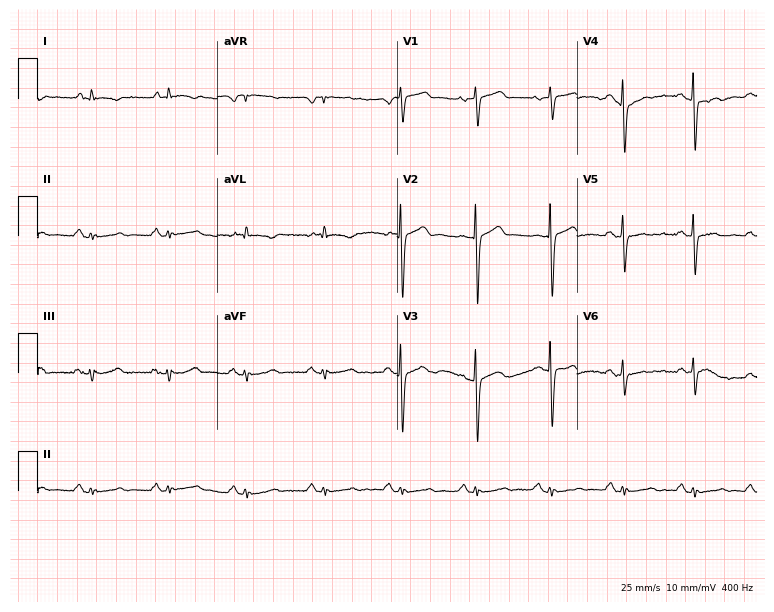
Electrocardiogram (7.3-second recording at 400 Hz), a man, 62 years old. Of the six screened findings (first-degree AV block, right bundle branch block (RBBB), left bundle branch block (LBBB), sinus bradycardia, atrial fibrillation (AF), sinus tachycardia), none is recorded. Findings outside these six are not listed.